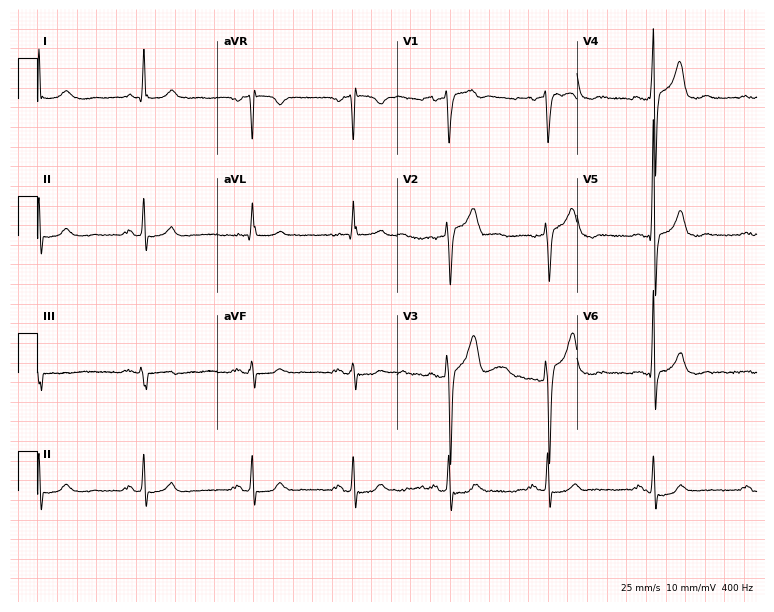
Standard 12-lead ECG recorded from a male, 56 years old. None of these six findings is recorded: first-degree AV block, right bundle branch block (RBBB), left bundle branch block (LBBB), sinus bradycardia, atrial fibrillation (AF), sinus tachycardia.